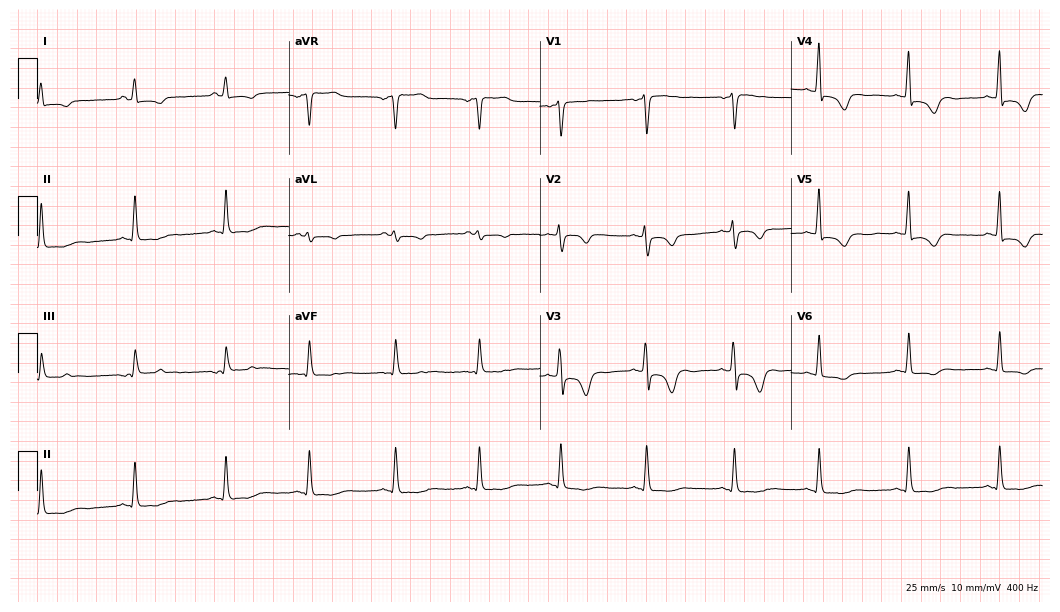
Electrocardiogram, a 42-year-old woman. Of the six screened findings (first-degree AV block, right bundle branch block (RBBB), left bundle branch block (LBBB), sinus bradycardia, atrial fibrillation (AF), sinus tachycardia), none is recorded. Only these six findings were labelled.